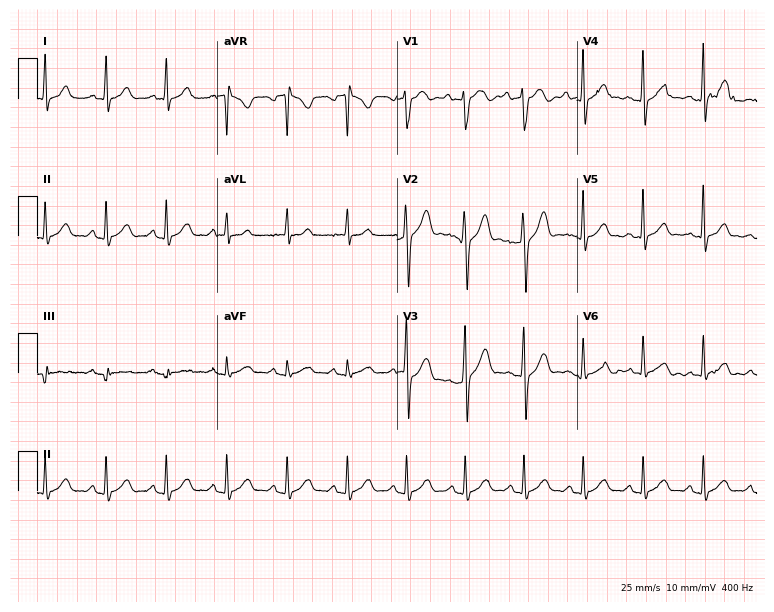
Standard 12-lead ECG recorded from a 23-year-old man (7.3-second recording at 400 Hz). None of these six findings is recorded: first-degree AV block, right bundle branch block (RBBB), left bundle branch block (LBBB), sinus bradycardia, atrial fibrillation (AF), sinus tachycardia.